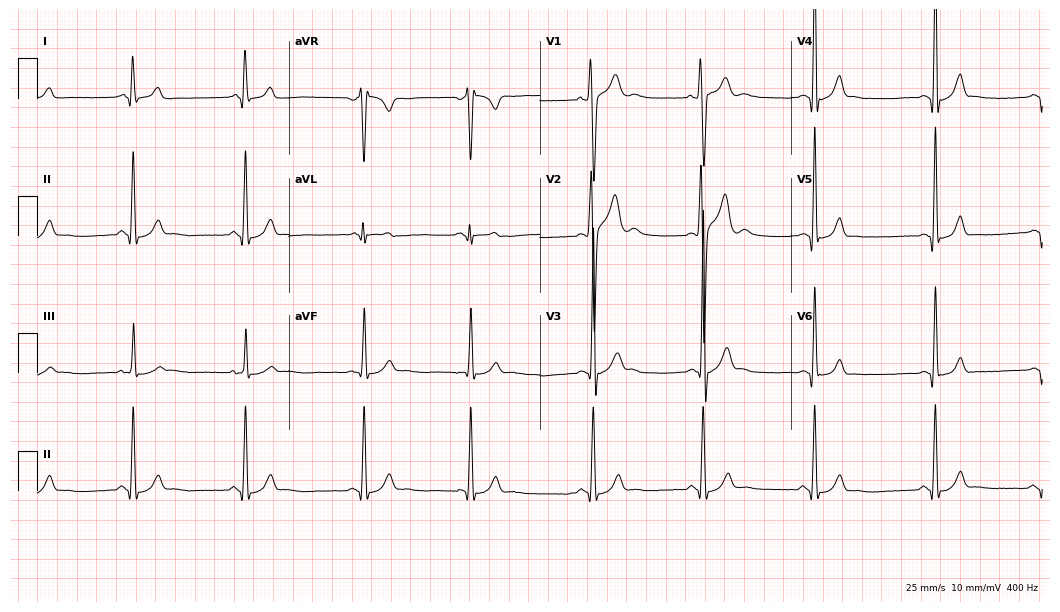
Resting 12-lead electrocardiogram (10.2-second recording at 400 Hz). Patient: a man, 17 years old. None of these six findings is recorded: first-degree AV block, right bundle branch block, left bundle branch block, sinus bradycardia, atrial fibrillation, sinus tachycardia. Other findings, if any, are not listed.